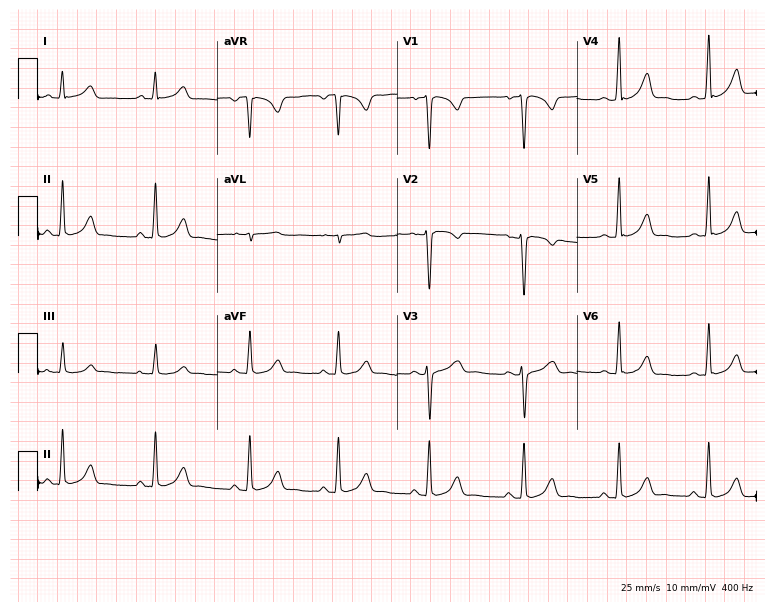
Resting 12-lead electrocardiogram. Patient: a woman, 22 years old. None of these six findings is recorded: first-degree AV block, right bundle branch block, left bundle branch block, sinus bradycardia, atrial fibrillation, sinus tachycardia. Other findings, if any, are not listed.